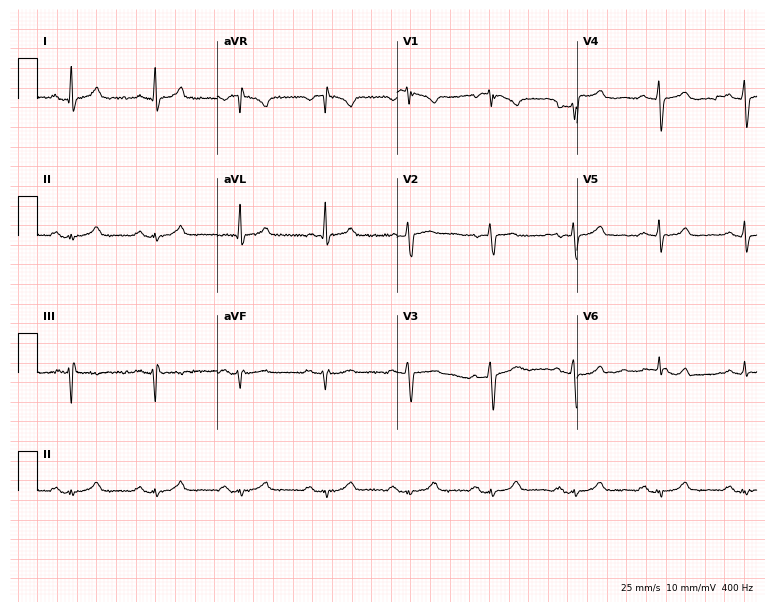
Resting 12-lead electrocardiogram. Patient: a 52-year-old female. None of these six findings is recorded: first-degree AV block, right bundle branch block, left bundle branch block, sinus bradycardia, atrial fibrillation, sinus tachycardia. Only these six findings were labelled.